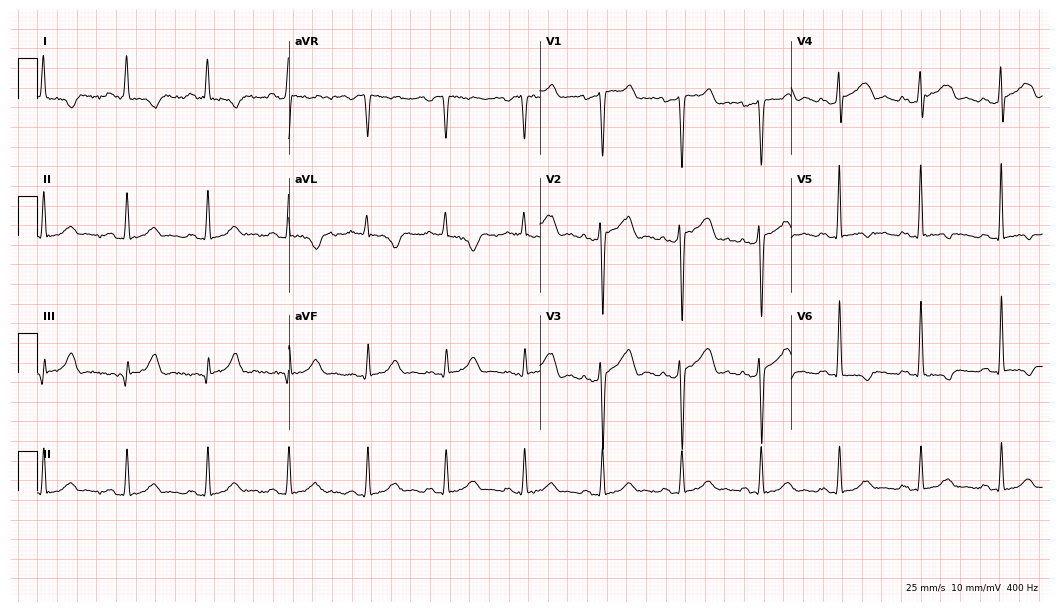
Electrocardiogram, a 66-year-old female patient. Of the six screened findings (first-degree AV block, right bundle branch block, left bundle branch block, sinus bradycardia, atrial fibrillation, sinus tachycardia), none is recorded.